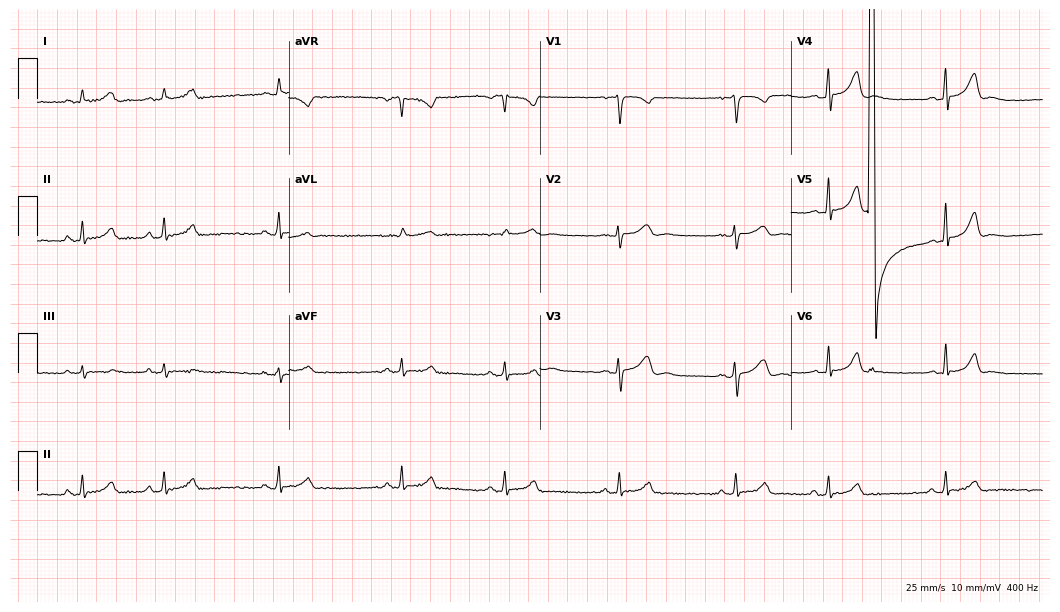
ECG — a woman, 25 years old. Screened for six findings — first-degree AV block, right bundle branch block, left bundle branch block, sinus bradycardia, atrial fibrillation, sinus tachycardia — none is recorded.